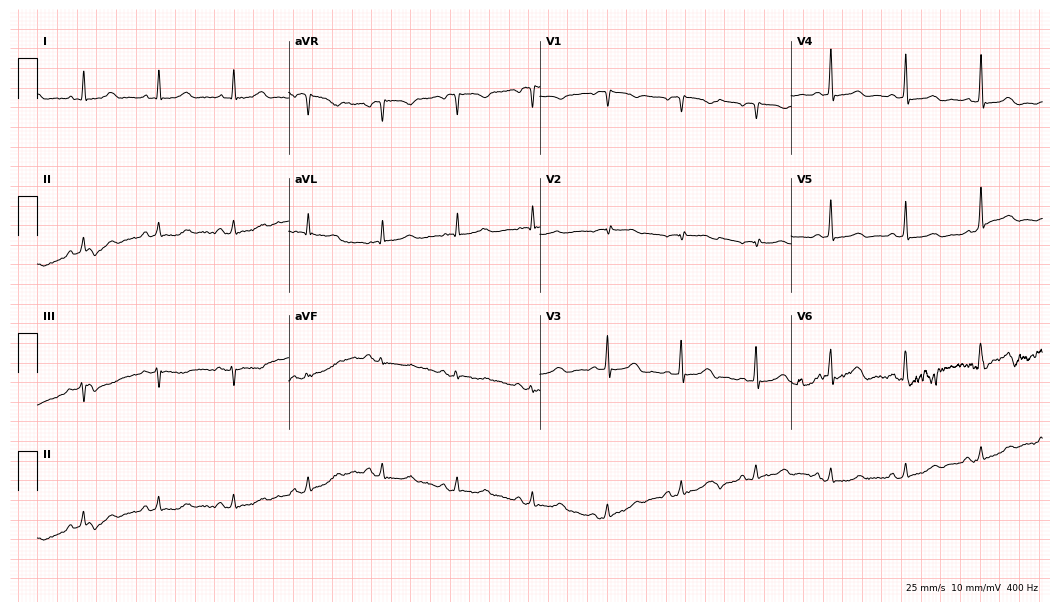
12-lead ECG from a female, 65 years old (10.2-second recording at 400 Hz). Recorded interpretation: within normal limits.